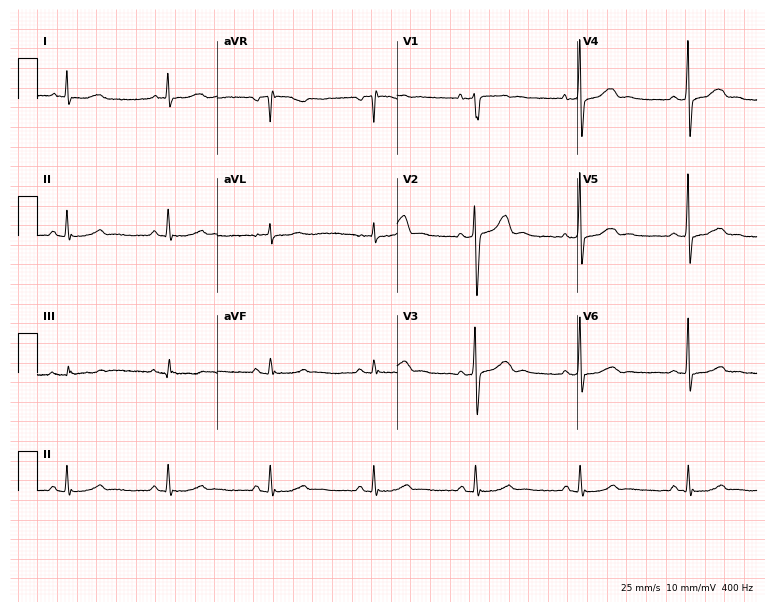
Electrocardiogram, a 59-year-old male patient. Interpretation includes sinus bradycardia (a sinus rate of 50 beats per minute or less).